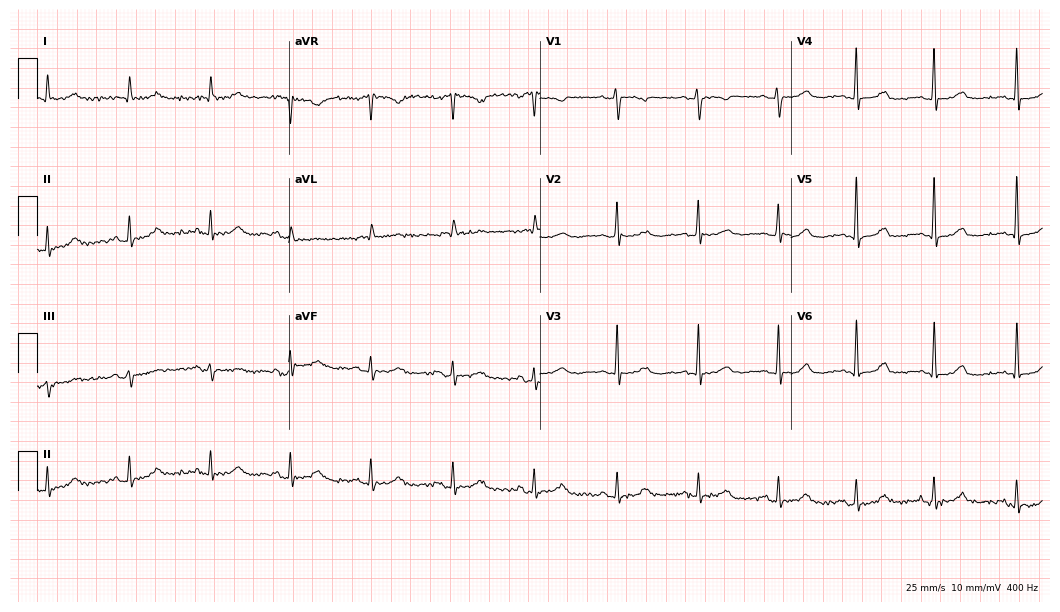
Standard 12-lead ECG recorded from a 74-year-old woman (10.2-second recording at 400 Hz). Read as a normal ECG.